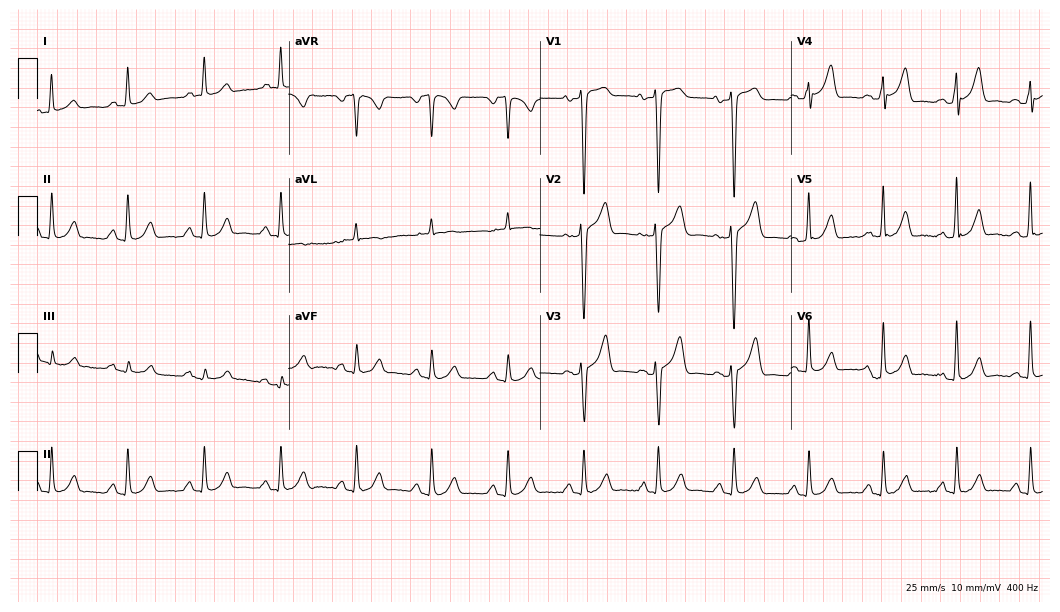
12-lead ECG from a male, 62 years old. No first-degree AV block, right bundle branch block, left bundle branch block, sinus bradycardia, atrial fibrillation or sinus tachycardia recorded for this tracing.